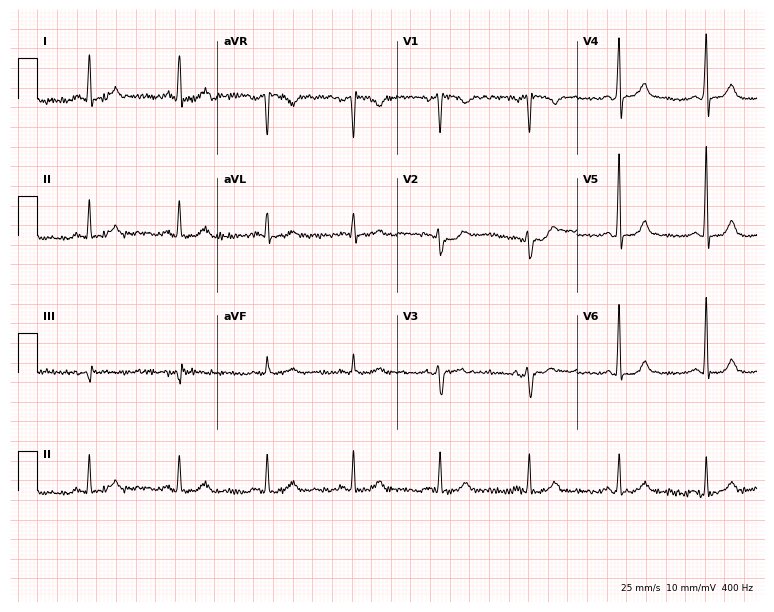
Electrocardiogram (7.3-second recording at 400 Hz), a 44-year-old man. Overall reading on record: normal ECG.